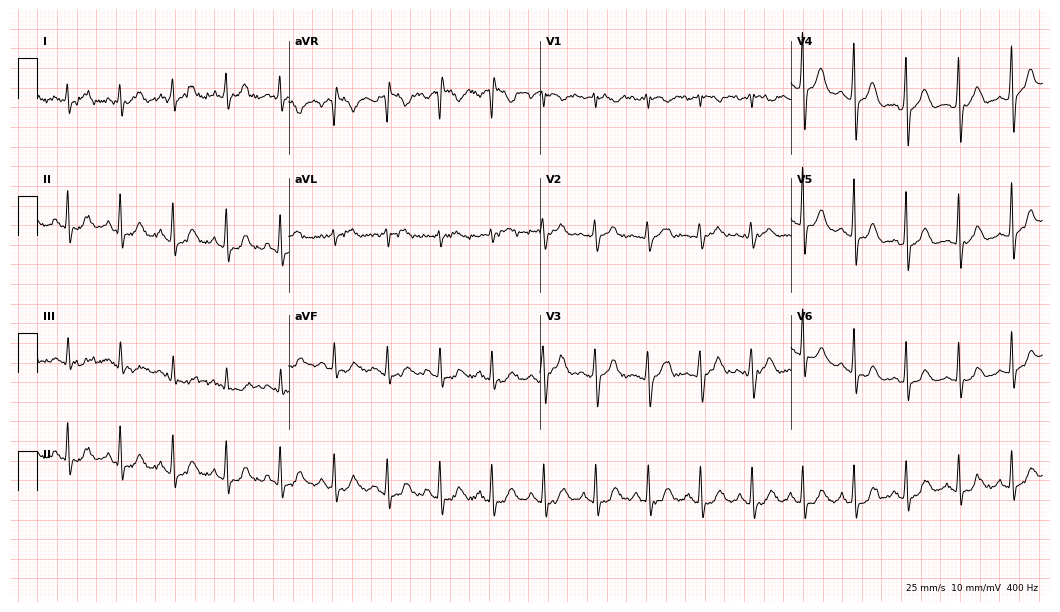
ECG (10.2-second recording at 400 Hz) — a 30-year-old female. Findings include sinus tachycardia (a sinus rate of 100 beats per minute or more).